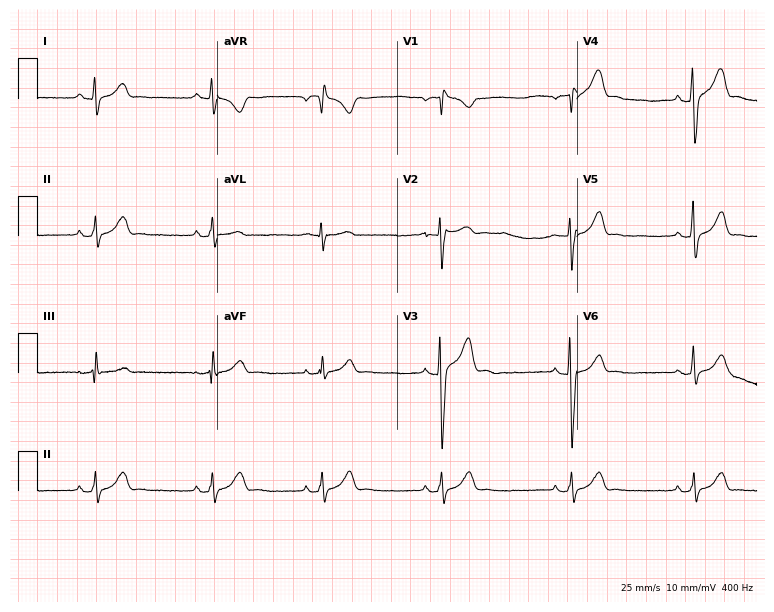
Resting 12-lead electrocardiogram. Patient: a man, 28 years old. The tracing shows sinus bradycardia (a sinus rate of 50 beats per minute or less).